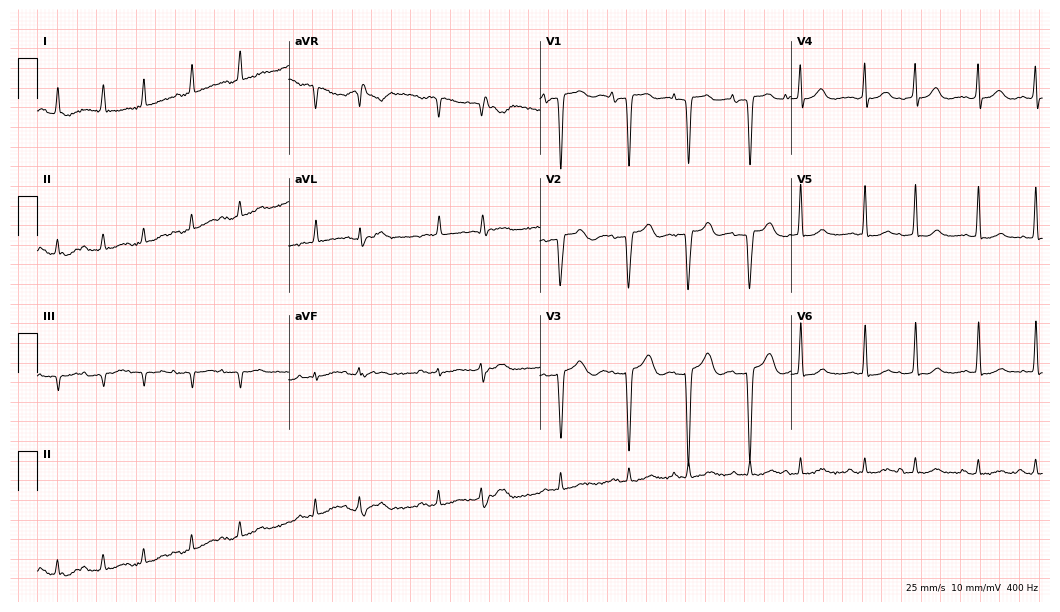
Resting 12-lead electrocardiogram. Patient: an 85-year-old female. None of these six findings is recorded: first-degree AV block, right bundle branch block, left bundle branch block, sinus bradycardia, atrial fibrillation, sinus tachycardia. Only these six findings were labelled.